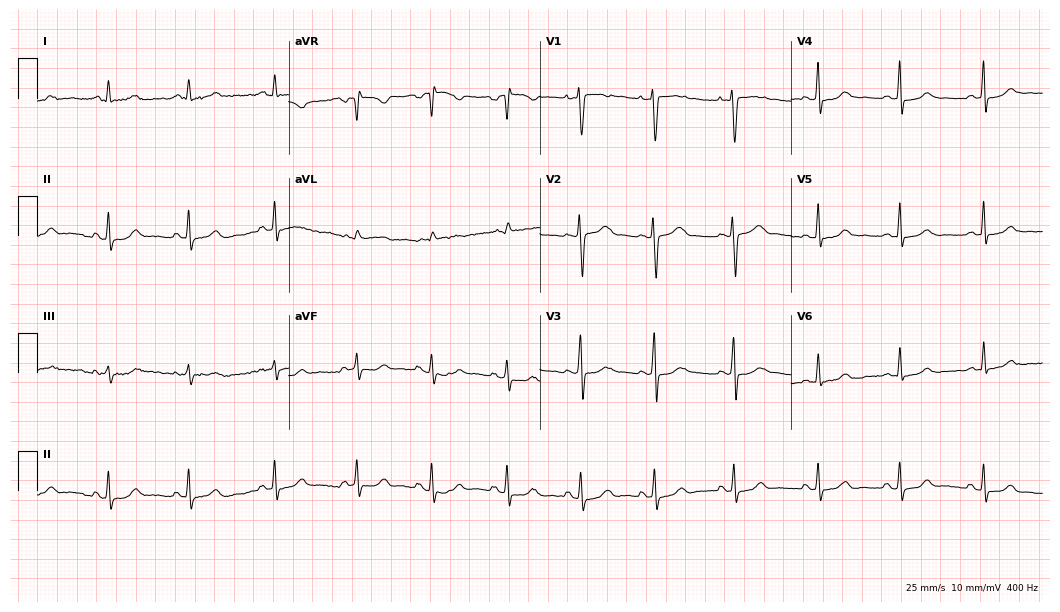
ECG (10.2-second recording at 400 Hz) — a 20-year-old female. Screened for six findings — first-degree AV block, right bundle branch block, left bundle branch block, sinus bradycardia, atrial fibrillation, sinus tachycardia — none is recorded. Only these six findings were labelled.